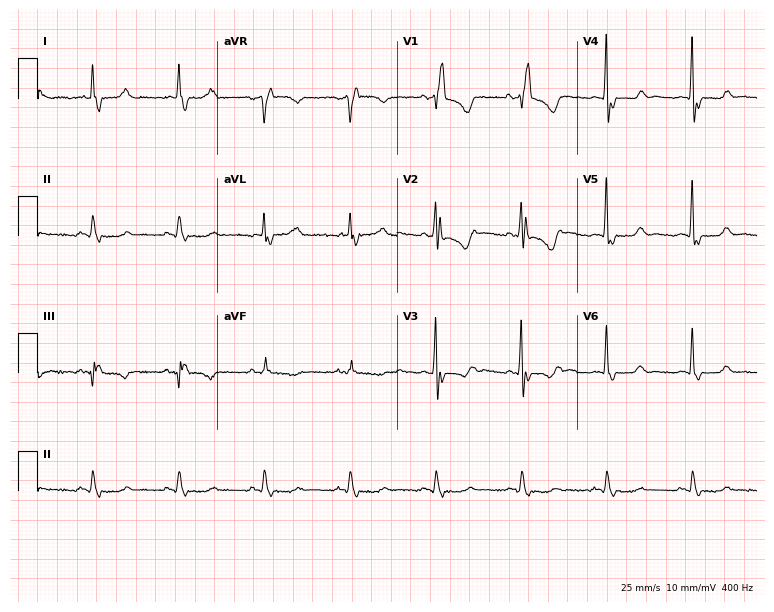
12-lead ECG from a female patient, 72 years old. Findings include right bundle branch block.